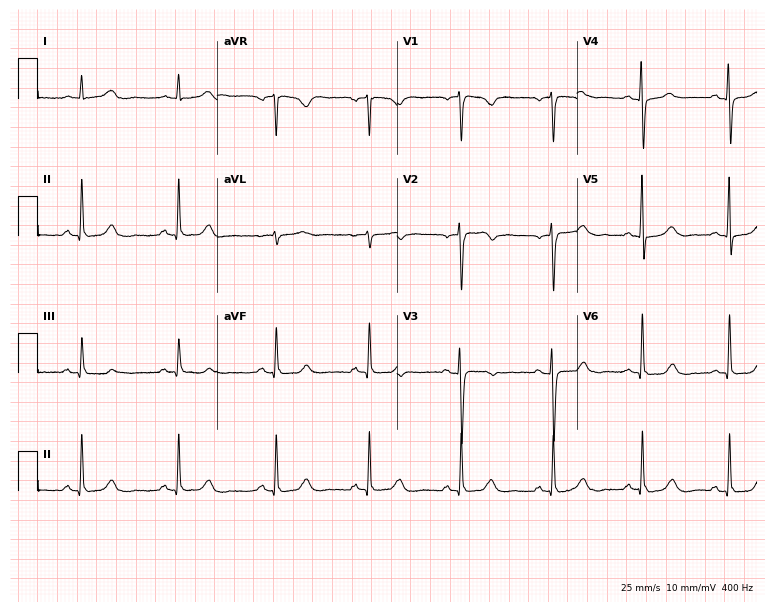
Electrocardiogram, a female patient, 54 years old. Overall reading on record: normal ECG.